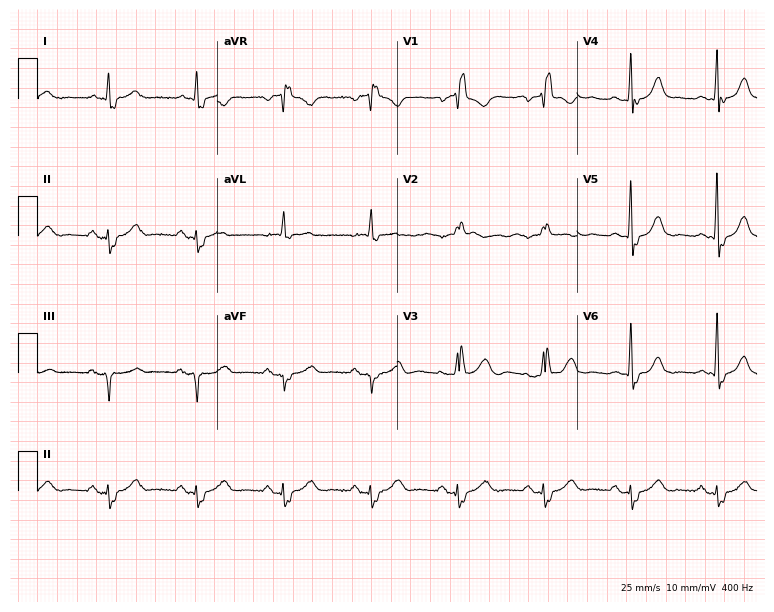
Electrocardiogram, a 63-year-old male patient. Interpretation includes right bundle branch block.